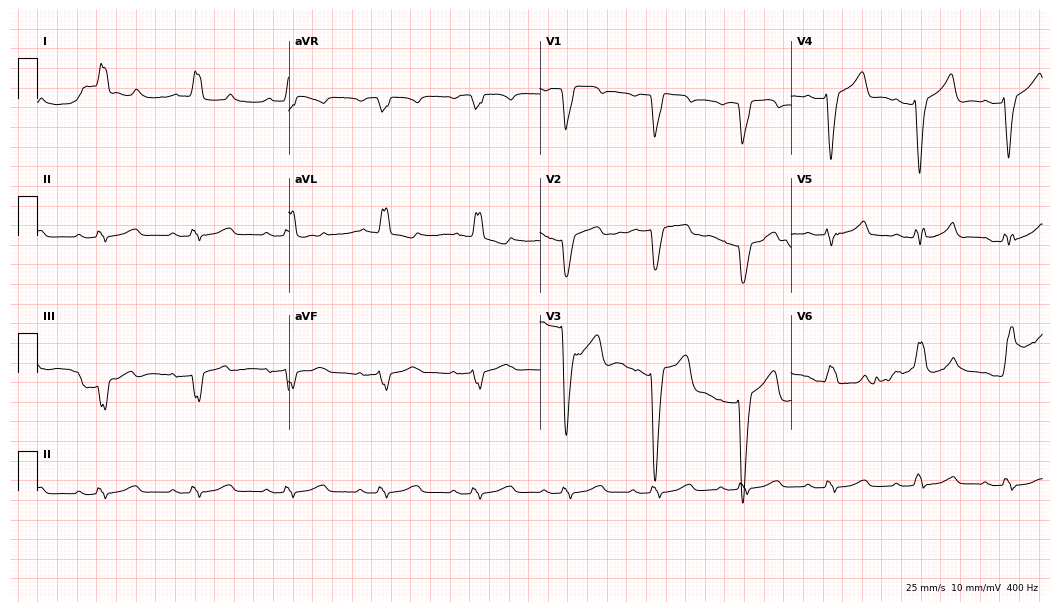
Standard 12-lead ECG recorded from a male patient, 82 years old (10.2-second recording at 400 Hz). The tracing shows left bundle branch block (LBBB).